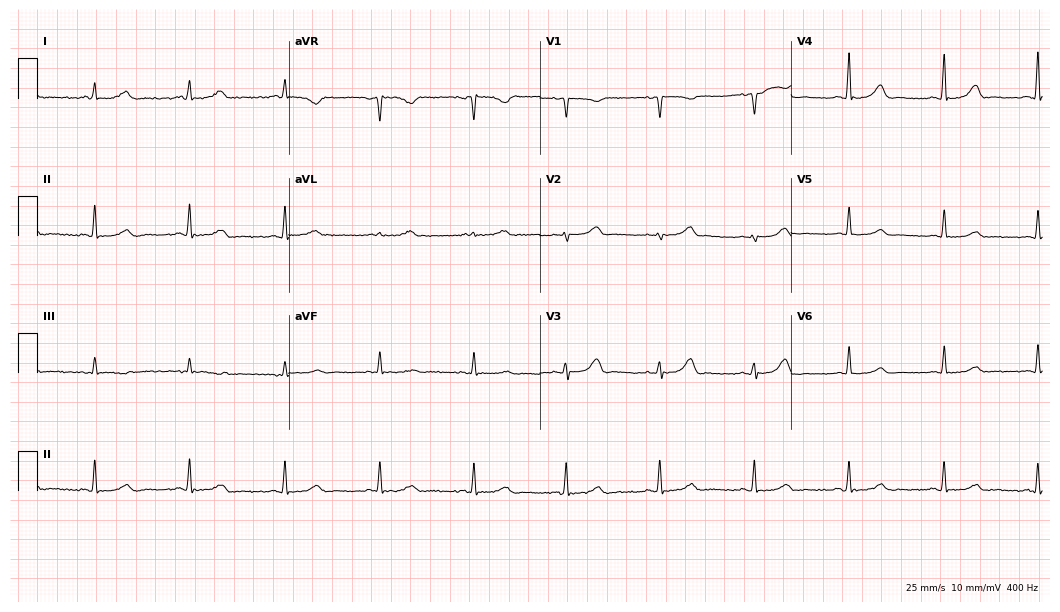
ECG — a woman, 56 years old. Labelled as a normal ECG.